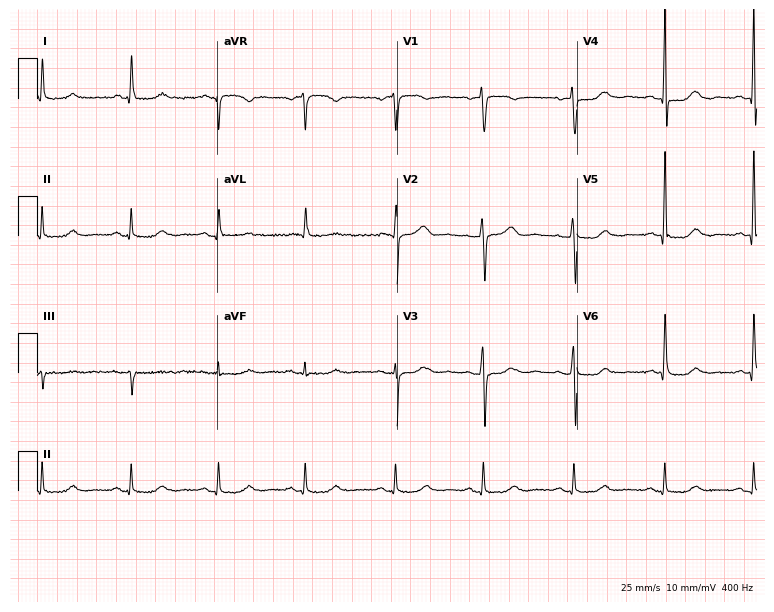
ECG — a 60-year-old female patient. Screened for six findings — first-degree AV block, right bundle branch block, left bundle branch block, sinus bradycardia, atrial fibrillation, sinus tachycardia — none is recorded.